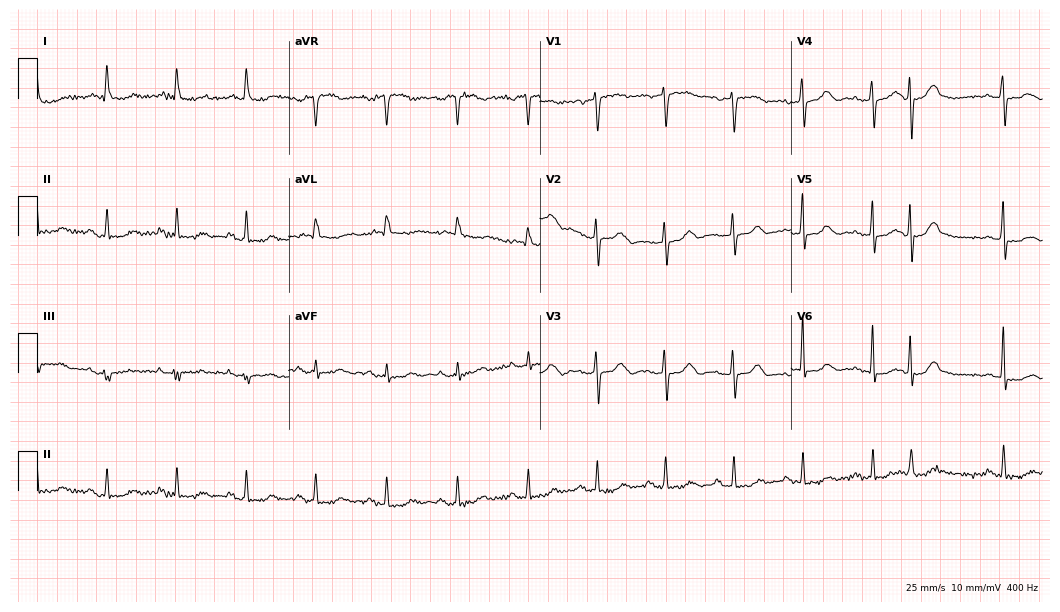
Electrocardiogram, a female, 84 years old. Of the six screened findings (first-degree AV block, right bundle branch block, left bundle branch block, sinus bradycardia, atrial fibrillation, sinus tachycardia), none is recorded.